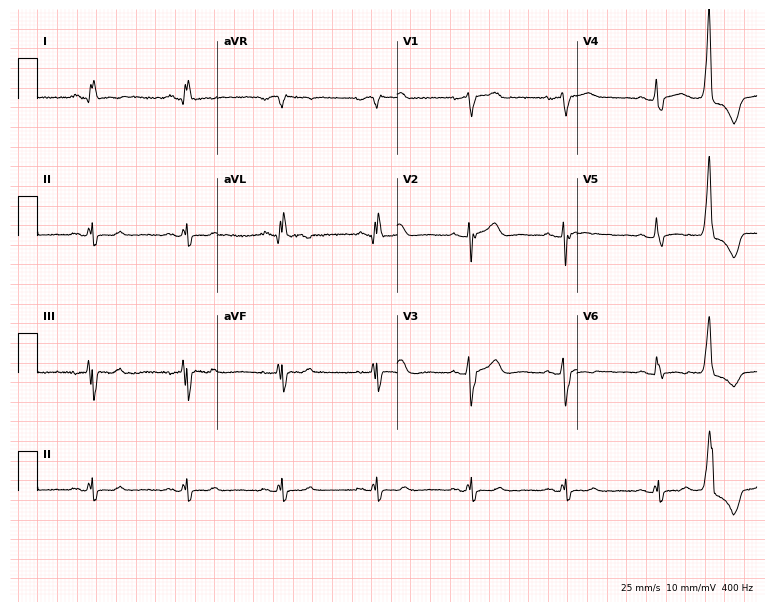
12-lead ECG from a female patient, 59 years old. Findings include right bundle branch block (RBBB).